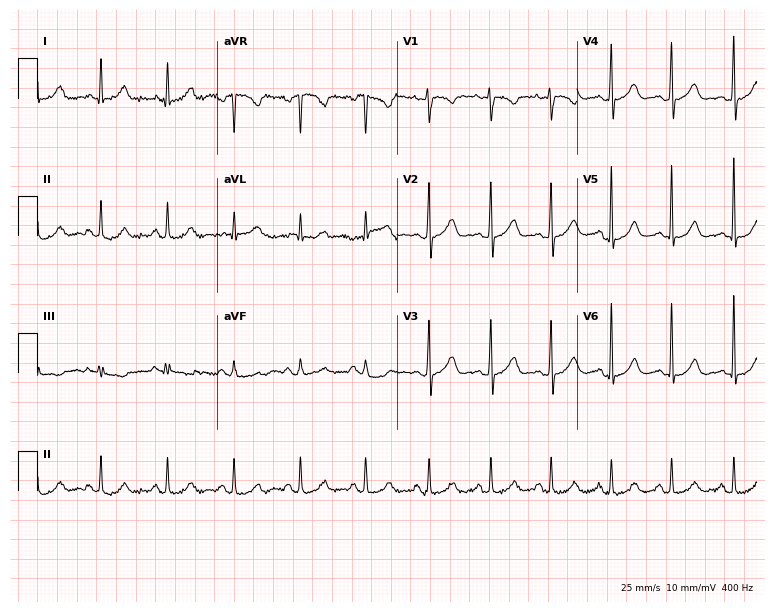
ECG (7.3-second recording at 400 Hz) — a female, 38 years old. Screened for six findings — first-degree AV block, right bundle branch block, left bundle branch block, sinus bradycardia, atrial fibrillation, sinus tachycardia — none is recorded.